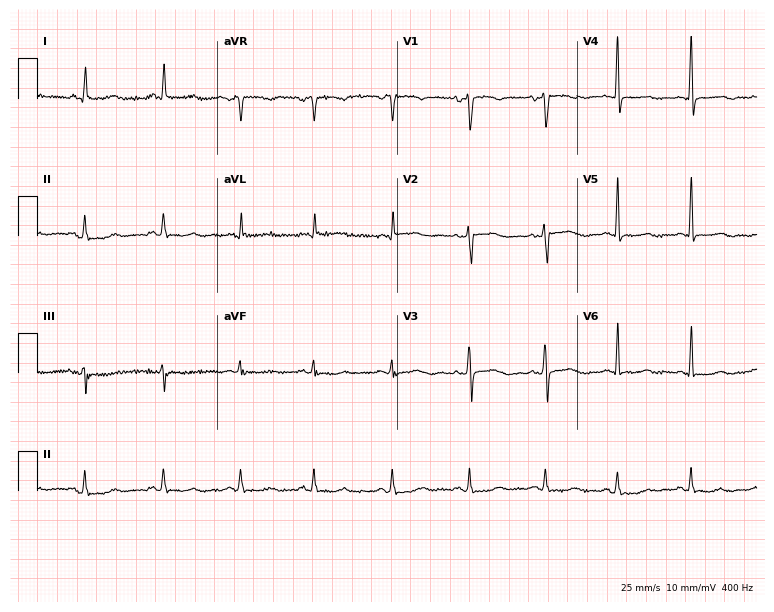
Electrocardiogram (7.3-second recording at 400 Hz), a 50-year-old female. Overall reading on record: normal ECG.